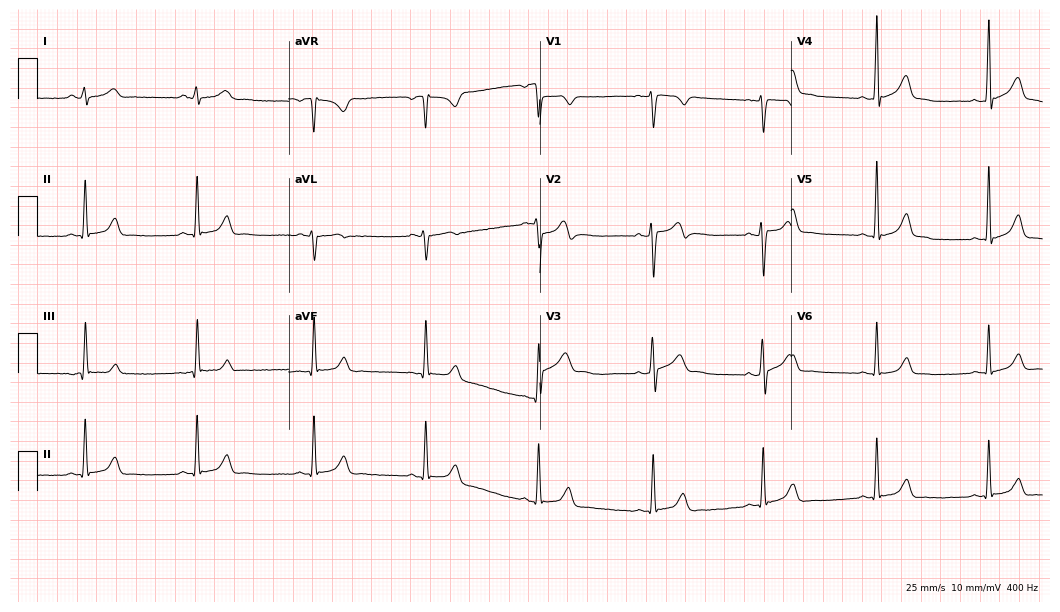
12-lead ECG (10.2-second recording at 400 Hz) from a 29-year-old male. Screened for six findings — first-degree AV block, right bundle branch block, left bundle branch block, sinus bradycardia, atrial fibrillation, sinus tachycardia — none is recorded.